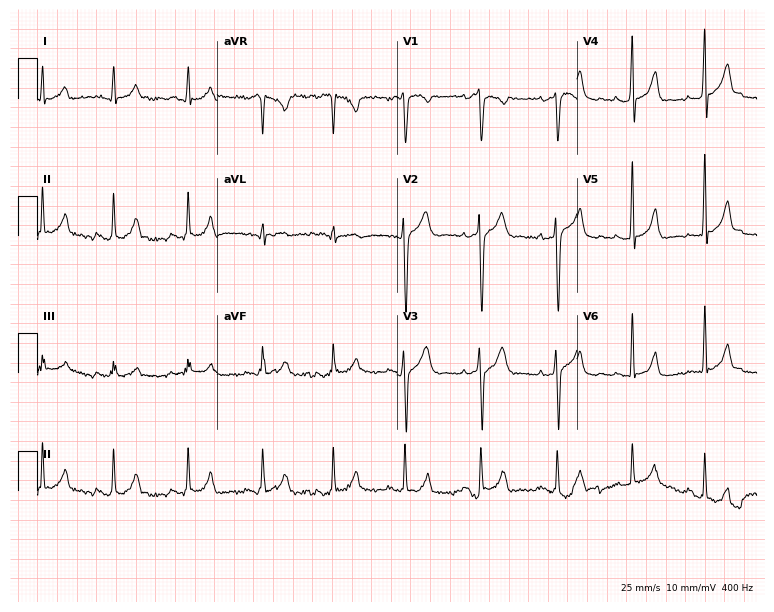
ECG — a male, 23 years old. Labelled as a normal ECG.